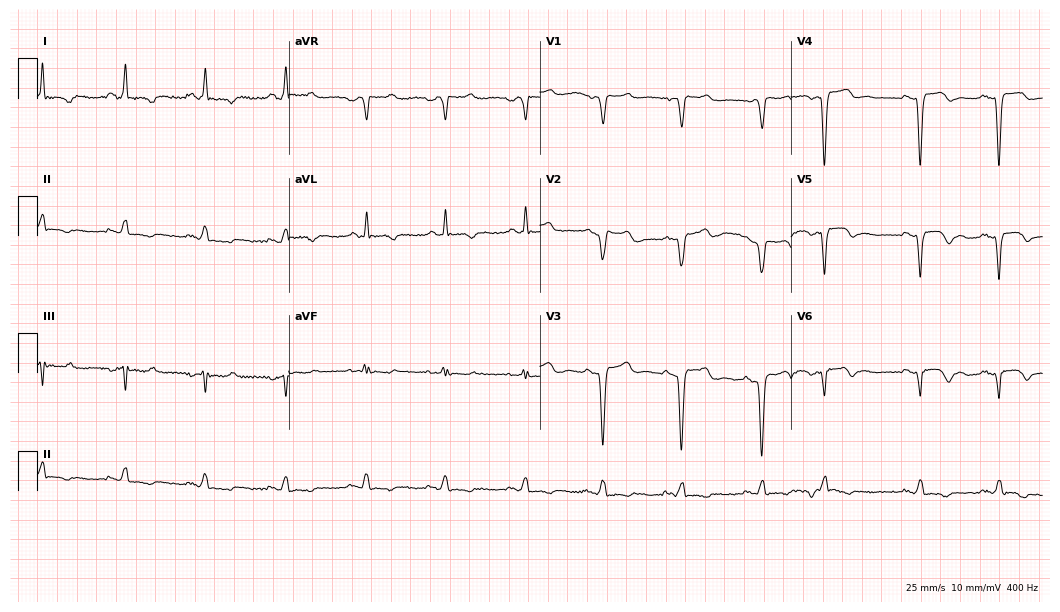
Standard 12-lead ECG recorded from a 67-year-old woman (10.2-second recording at 400 Hz). None of these six findings is recorded: first-degree AV block, right bundle branch block, left bundle branch block, sinus bradycardia, atrial fibrillation, sinus tachycardia.